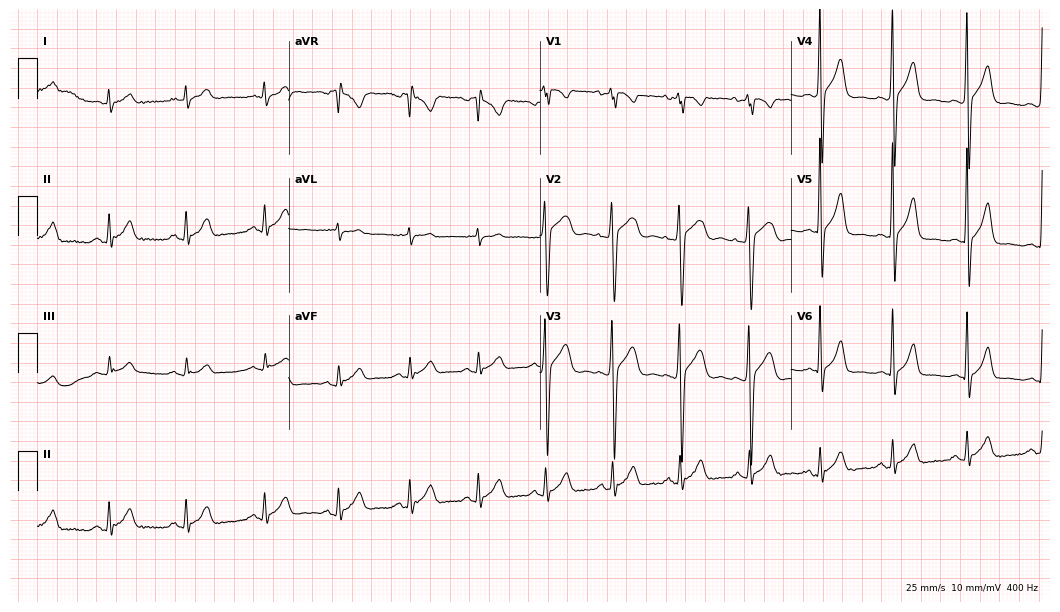
Standard 12-lead ECG recorded from a male patient, 47 years old. Read as a normal ECG.